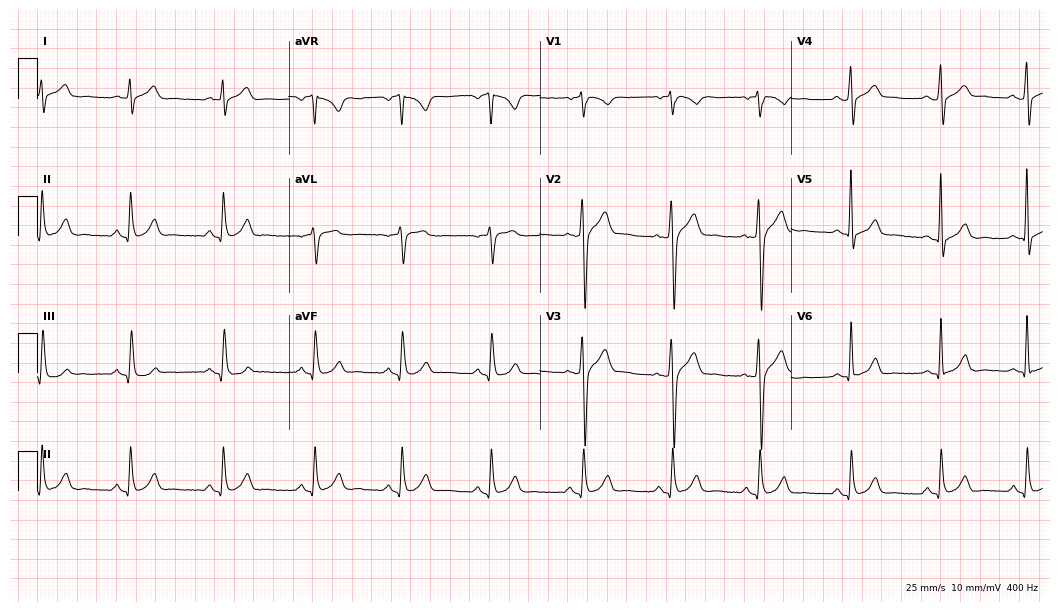
ECG (10.2-second recording at 400 Hz) — a 37-year-old man. Screened for six findings — first-degree AV block, right bundle branch block (RBBB), left bundle branch block (LBBB), sinus bradycardia, atrial fibrillation (AF), sinus tachycardia — none is recorded.